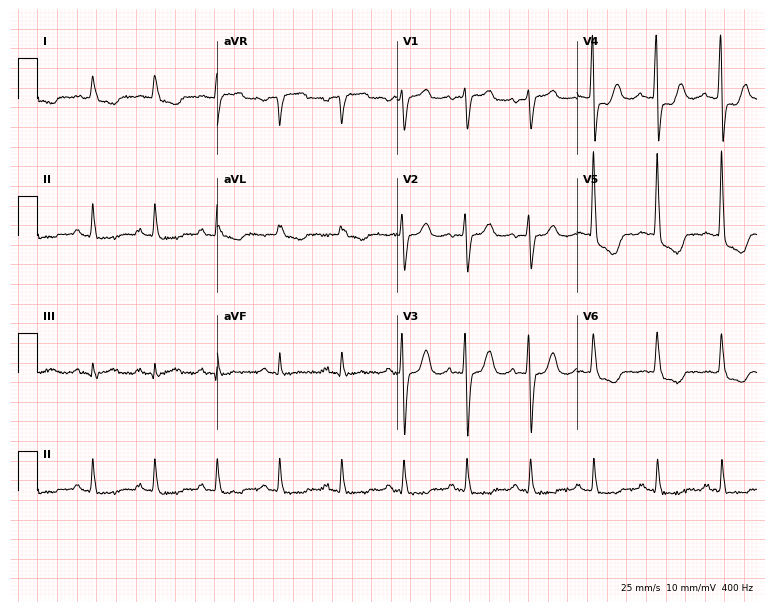
Resting 12-lead electrocardiogram. Patient: a 78-year-old female. None of these six findings is recorded: first-degree AV block, right bundle branch block, left bundle branch block, sinus bradycardia, atrial fibrillation, sinus tachycardia. Only these six findings were labelled.